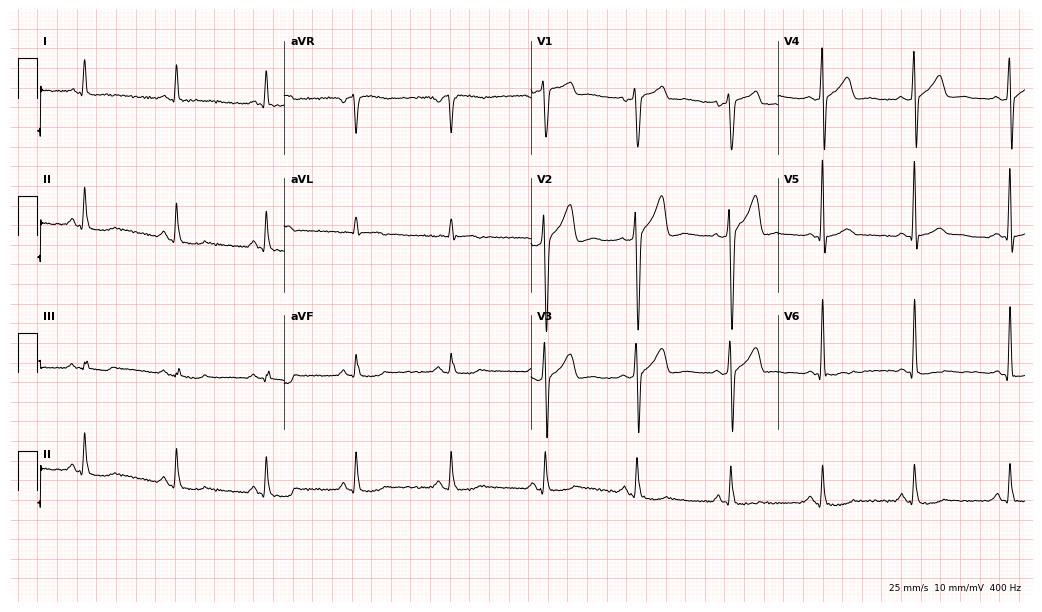
12-lead ECG (10.1-second recording at 400 Hz) from a 42-year-old male. Labelled as a normal ECG.